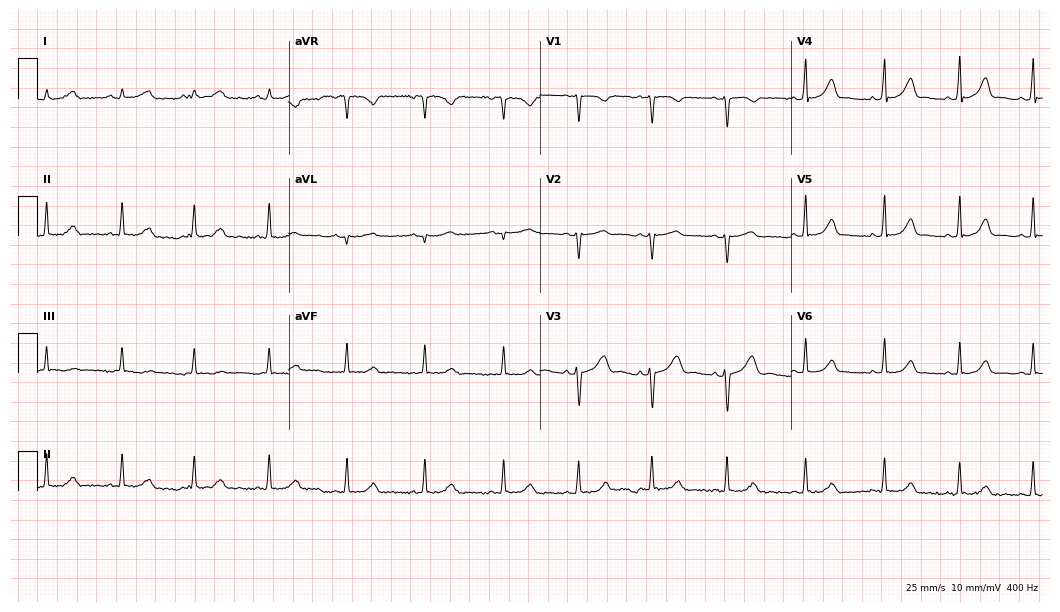
12-lead ECG from a woman, 21 years old (10.2-second recording at 400 Hz). Recorded interpretation: within normal limits.